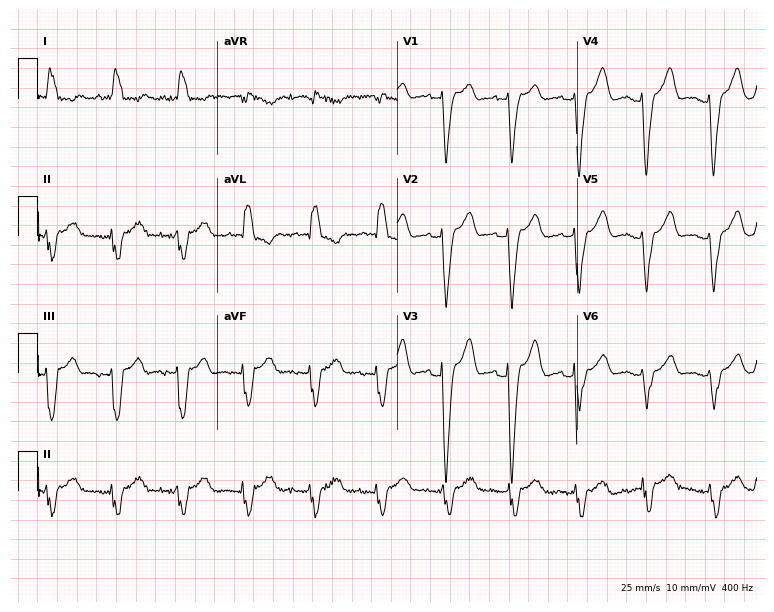
Standard 12-lead ECG recorded from a 70-year-old female. The tracing shows left bundle branch block.